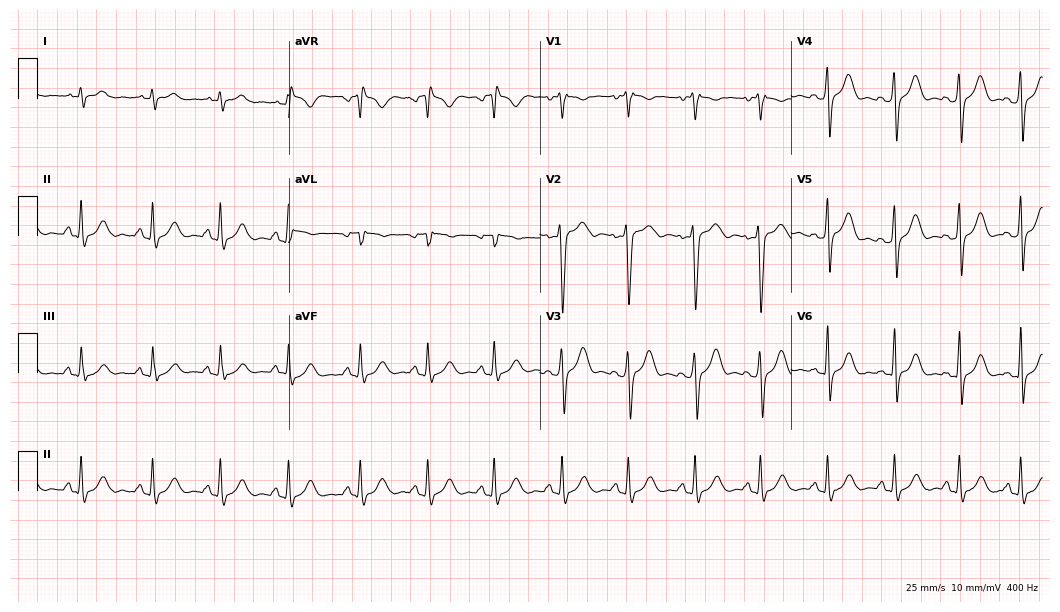
Standard 12-lead ECG recorded from a male, 17 years old (10.2-second recording at 400 Hz). None of these six findings is recorded: first-degree AV block, right bundle branch block, left bundle branch block, sinus bradycardia, atrial fibrillation, sinus tachycardia.